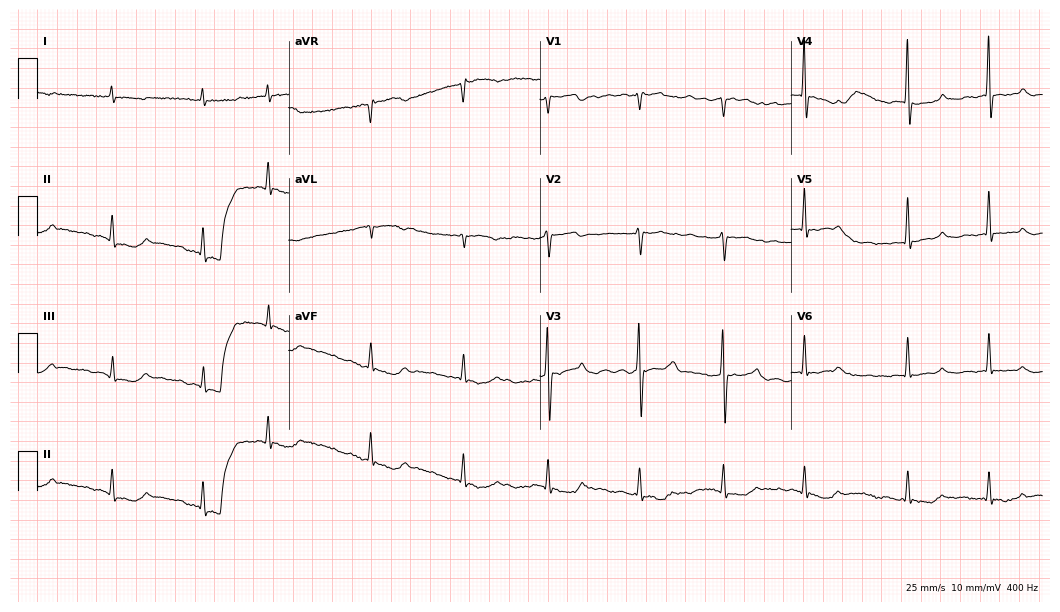
12-lead ECG from a woman, 77 years old. Screened for six findings — first-degree AV block, right bundle branch block (RBBB), left bundle branch block (LBBB), sinus bradycardia, atrial fibrillation (AF), sinus tachycardia — none is recorded. Only these six findings were labelled.